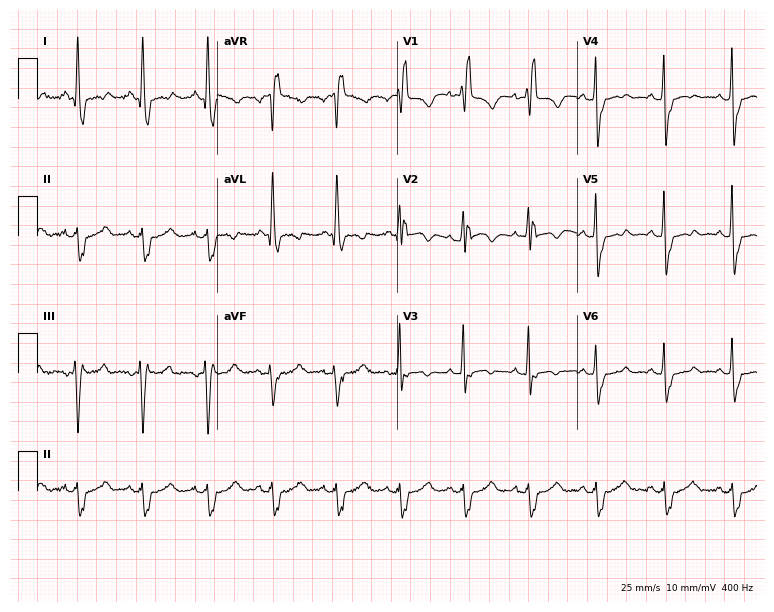
ECG (7.3-second recording at 400 Hz) — a female patient, 65 years old. Findings include right bundle branch block (RBBB).